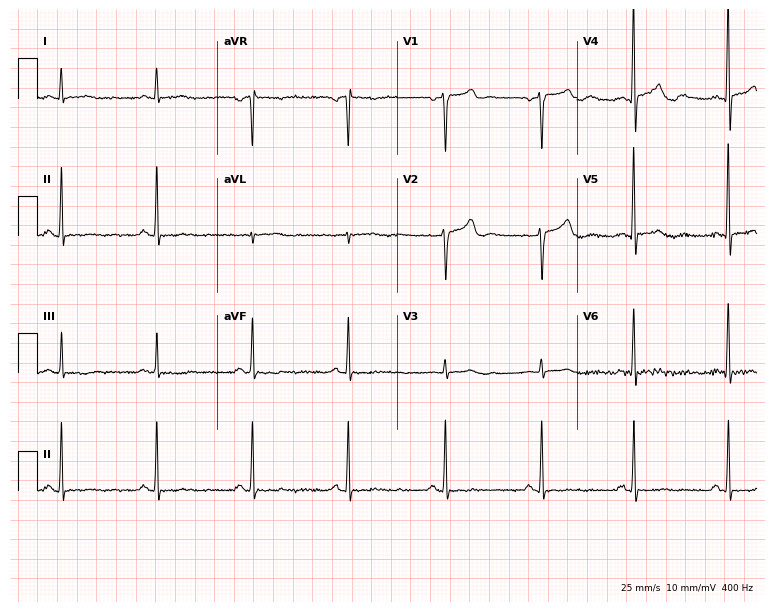
12-lead ECG from a male patient, 35 years old. No first-degree AV block, right bundle branch block, left bundle branch block, sinus bradycardia, atrial fibrillation or sinus tachycardia recorded for this tracing. Other findings, if any, are not listed.